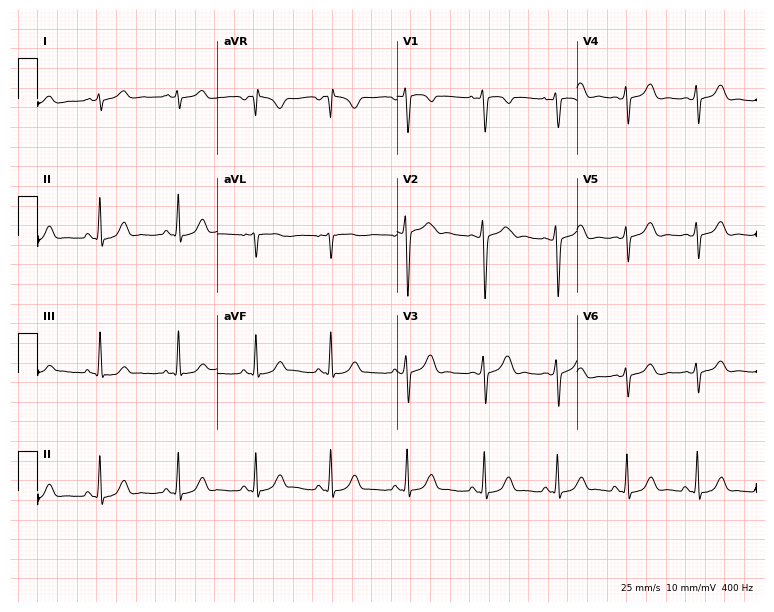
Electrocardiogram, a woman, 19 years old. Of the six screened findings (first-degree AV block, right bundle branch block, left bundle branch block, sinus bradycardia, atrial fibrillation, sinus tachycardia), none is recorded. Findings outside these six are not listed.